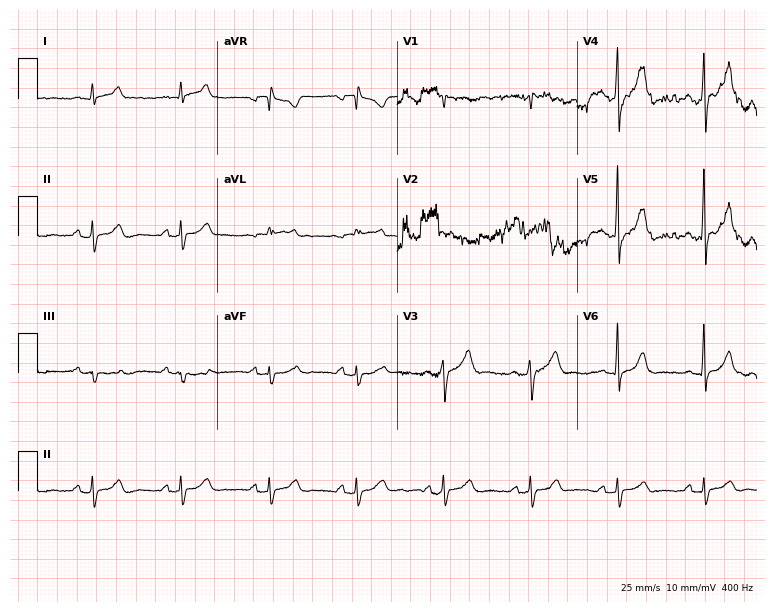
Standard 12-lead ECG recorded from a 70-year-old man. Read as a normal ECG.